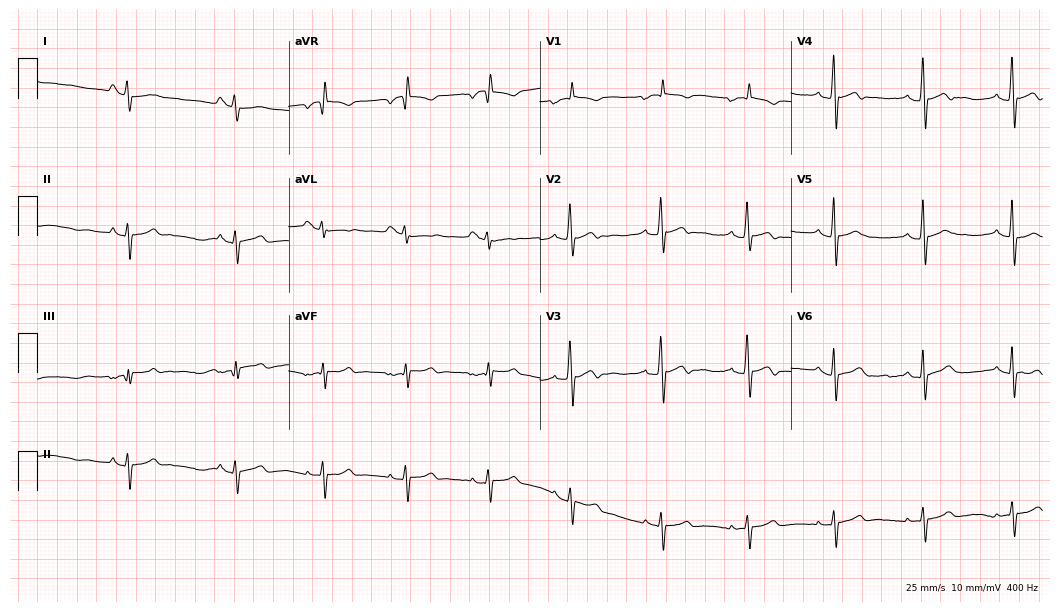
Electrocardiogram, a female, 22 years old. Overall reading on record: normal ECG.